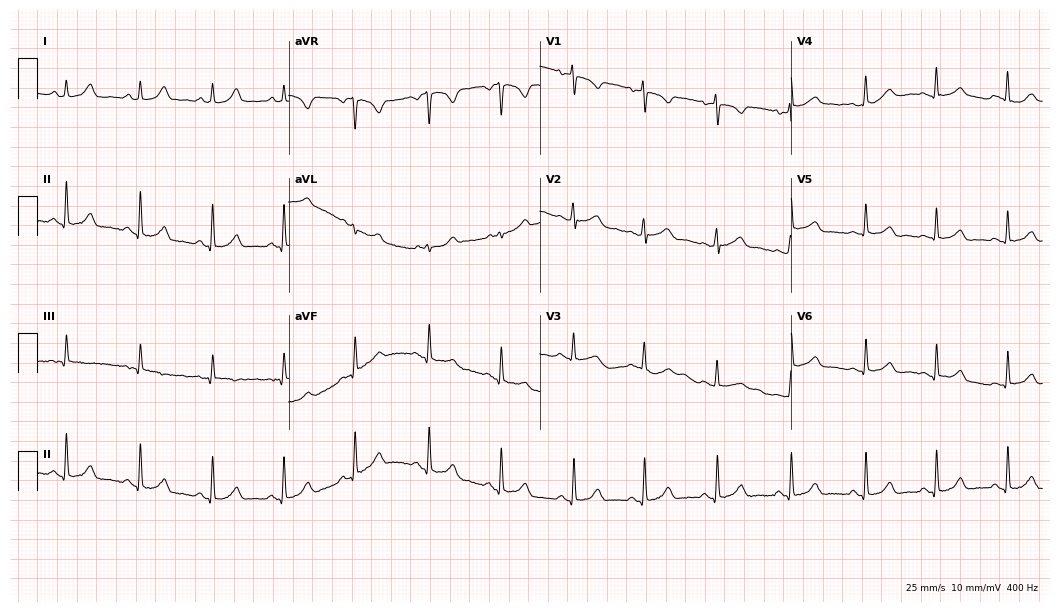
Resting 12-lead electrocardiogram. Patient: a 20-year-old woman. Read as a normal ECG.